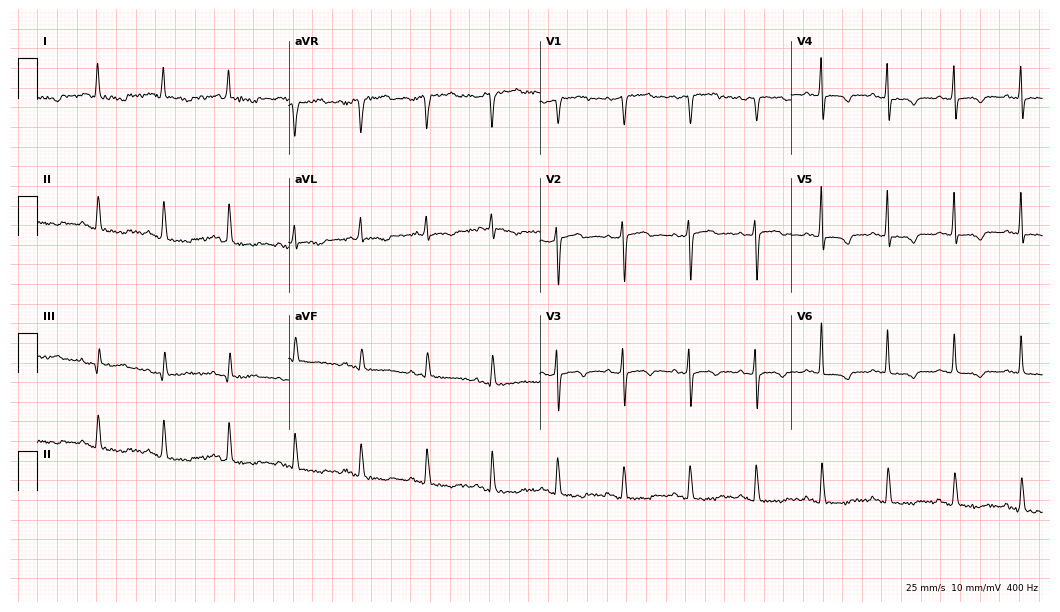
Resting 12-lead electrocardiogram (10.2-second recording at 400 Hz). Patient: a female, 79 years old. None of these six findings is recorded: first-degree AV block, right bundle branch block, left bundle branch block, sinus bradycardia, atrial fibrillation, sinus tachycardia. Only these six findings were labelled.